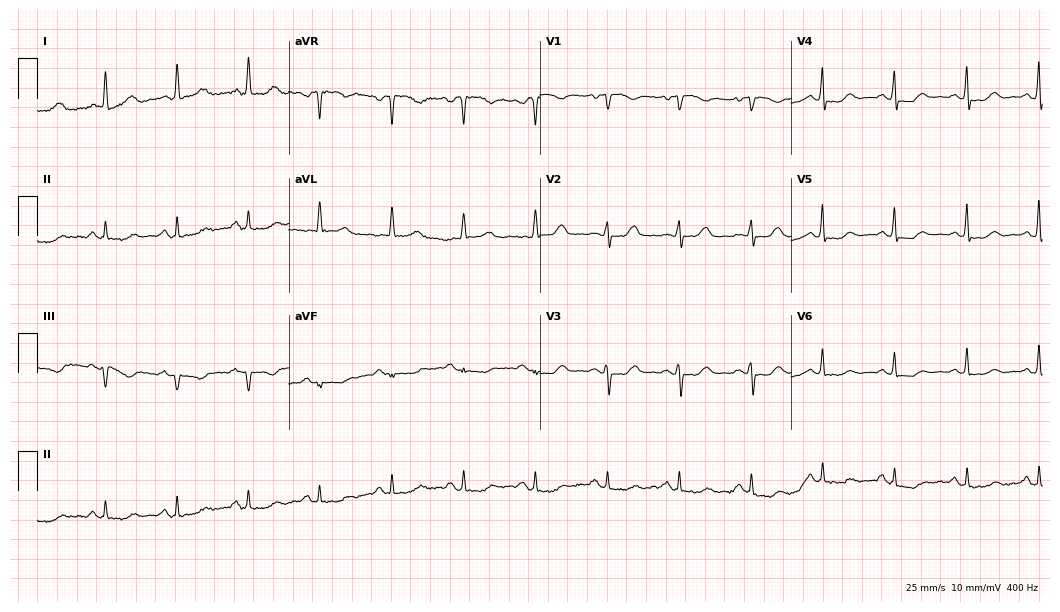
Electrocardiogram (10.2-second recording at 400 Hz), an 81-year-old woman. Of the six screened findings (first-degree AV block, right bundle branch block, left bundle branch block, sinus bradycardia, atrial fibrillation, sinus tachycardia), none is recorded.